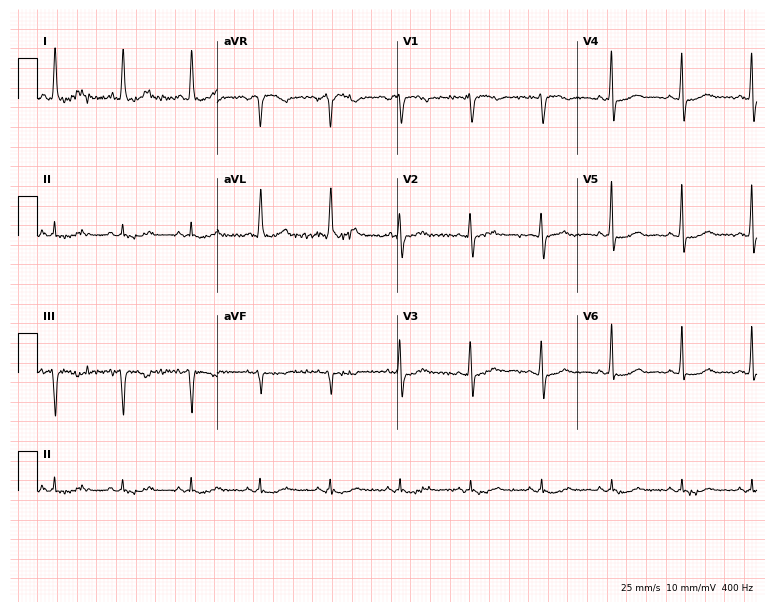
Resting 12-lead electrocardiogram (7.3-second recording at 400 Hz). Patient: a 58-year-old female. None of these six findings is recorded: first-degree AV block, right bundle branch block (RBBB), left bundle branch block (LBBB), sinus bradycardia, atrial fibrillation (AF), sinus tachycardia. Other findings, if any, are not listed.